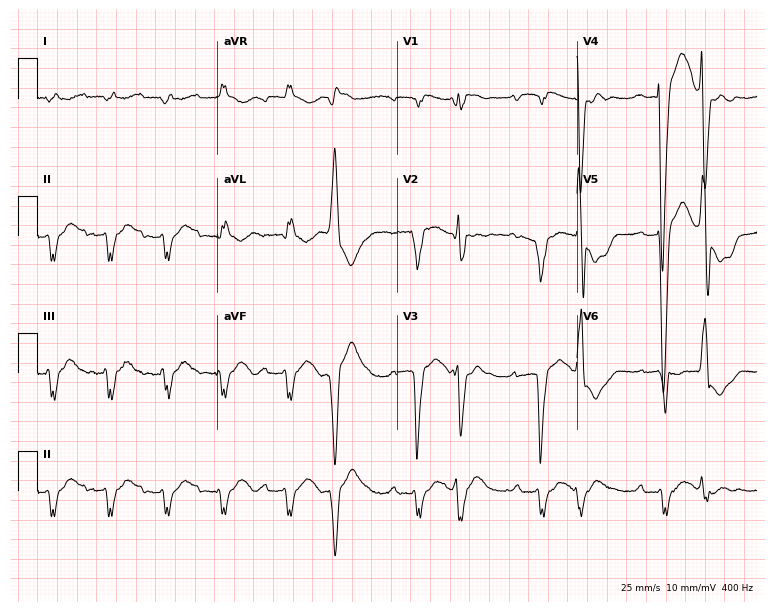
Resting 12-lead electrocardiogram (7.3-second recording at 400 Hz). Patient: a 73-year-old female. The tracing shows first-degree AV block.